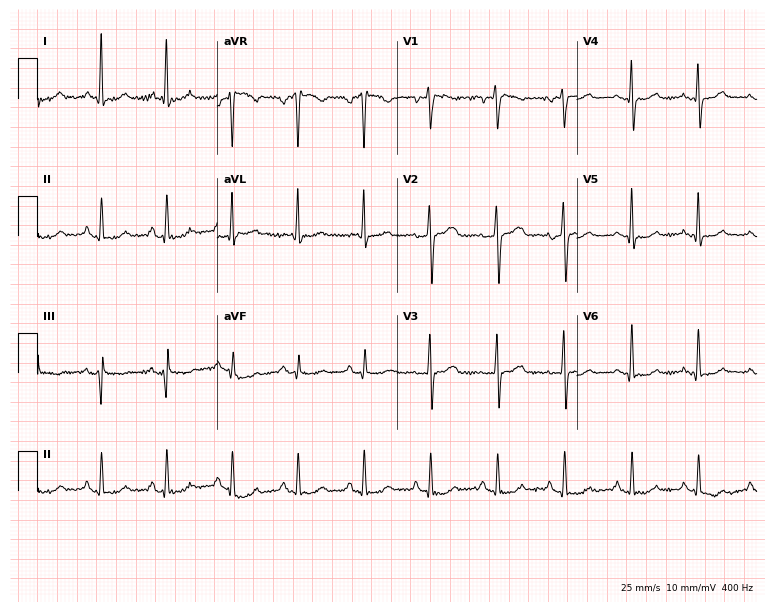
Resting 12-lead electrocardiogram (7.3-second recording at 400 Hz). Patient: a female, 46 years old. Read as a normal ECG.